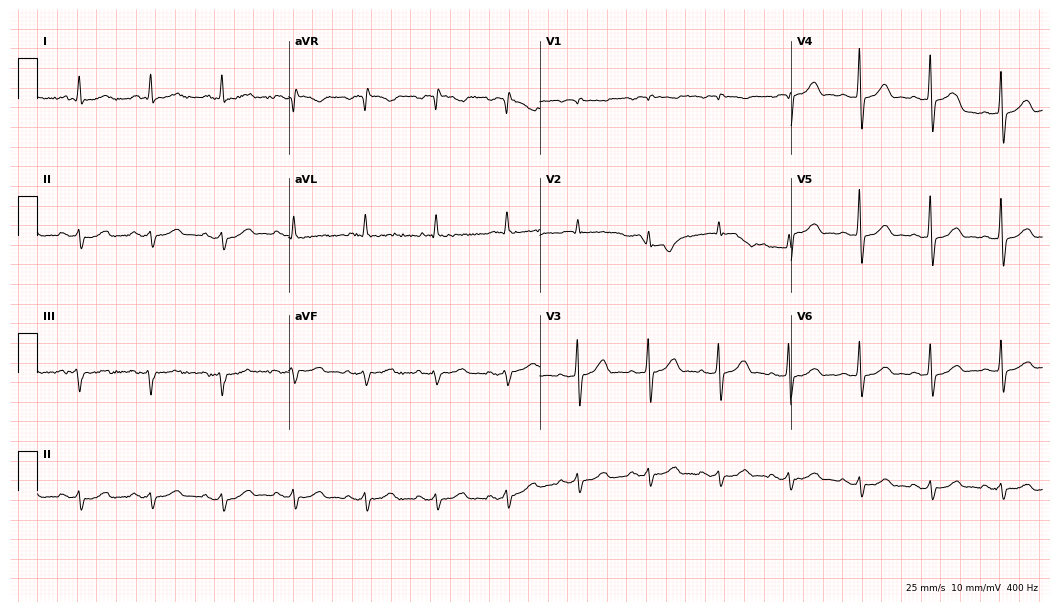
12-lead ECG from an 83-year-old female. Screened for six findings — first-degree AV block, right bundle branch block, left bundle branch block, sinus bradycardia, atrial fibrillation, sinus tachycardia — none is recorded. Only these six findings were labelled.